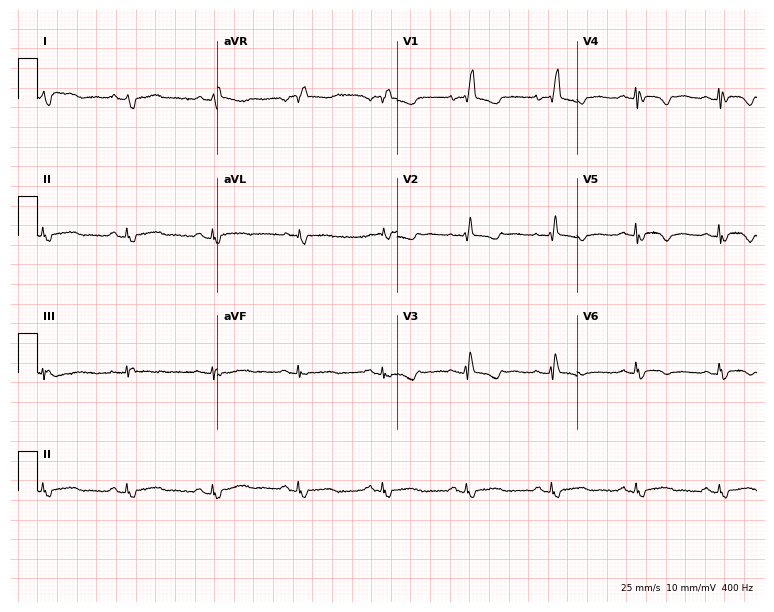
Electrocardiogram, a 55-year-old male. Of the six screened findings (first-degree AV block, right bundle branch block (RBBB), left bundle branch block (LBBB), sinus bradycardia, atrial fibrillation (AF), sinus tachycardia), none is recorded.